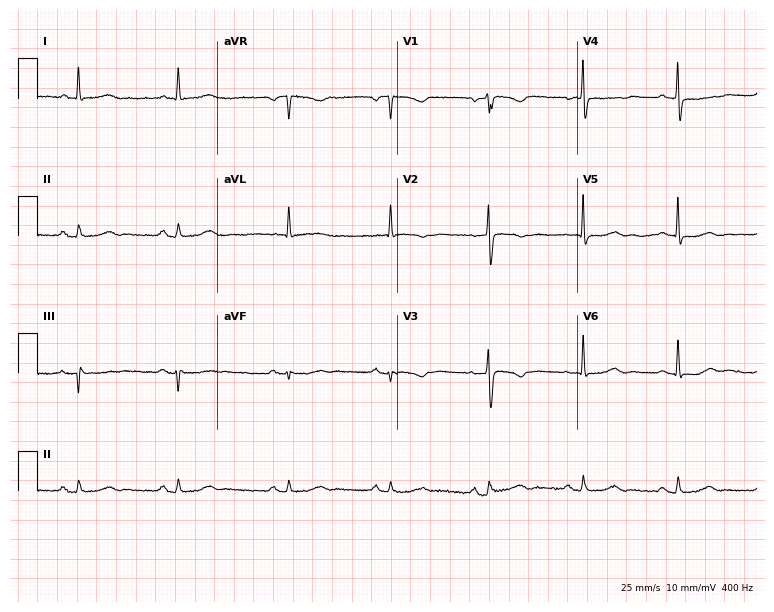
12-lead ECG from an 83-year-old female patient. Screened for six findings — first-degree AV block, right bundle branch block, left bundle branch block, sinus bradycardia, atrial fibrillation, sinus tachycardia — none is recorded.